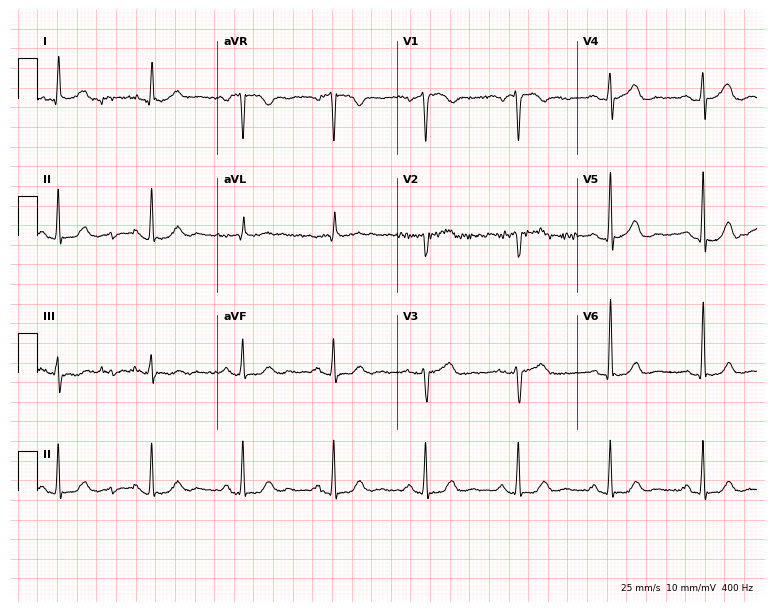
12-lead ECG (7.3-second recording at 400 Hz) from a 67-year-old male patient. Screened for six findings — first-degree AV block, right bundle branch block, left bundle branch block, sinus bradycardia, atrial fibrillation, sinus tachycardia — none is recorded.